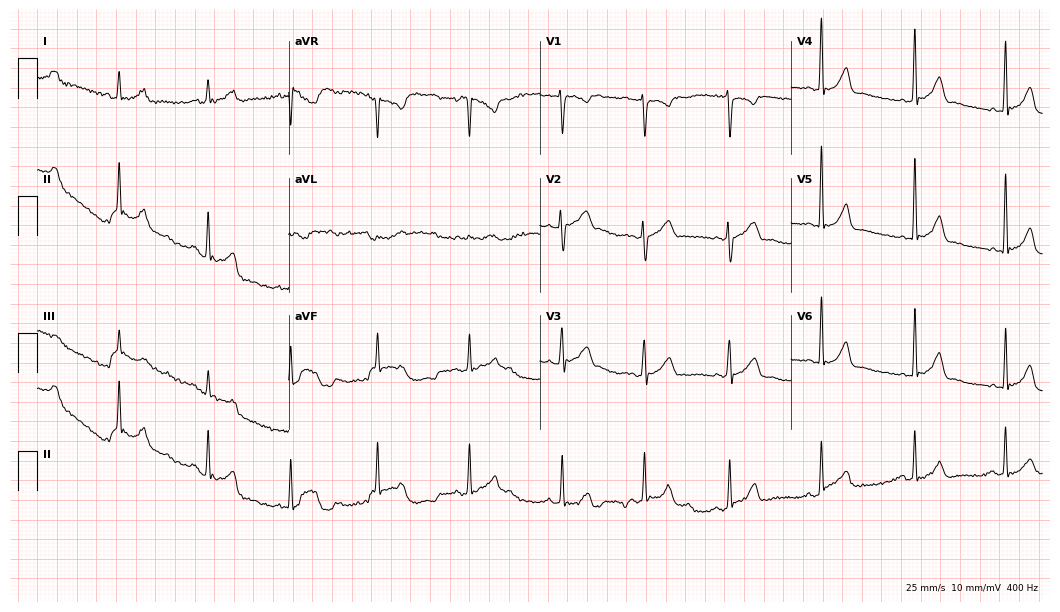
Standard 12-lead ECG recorded from a 33-year-old female. Read as a normal ECG.